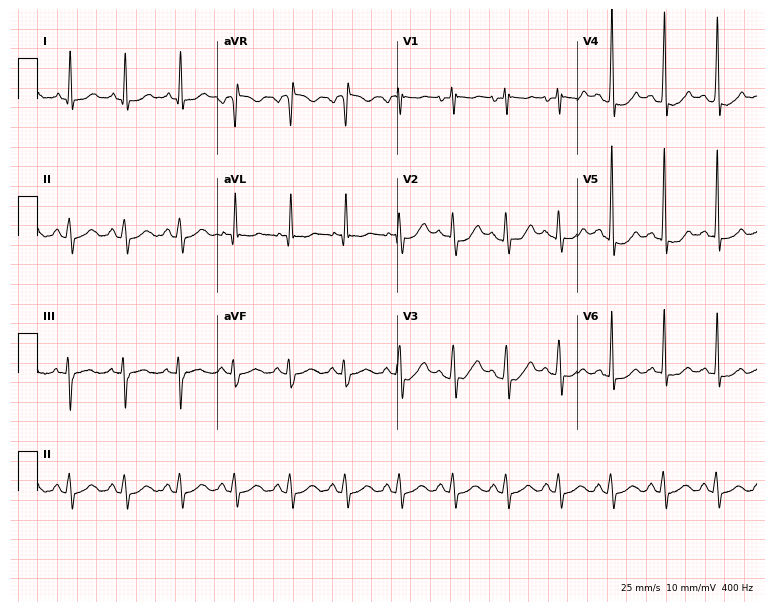
Electrocardiogram, a female, 25 years old. Interpretation includes sinus tachycardia (a sinus rate of 100 beats per minute or more).